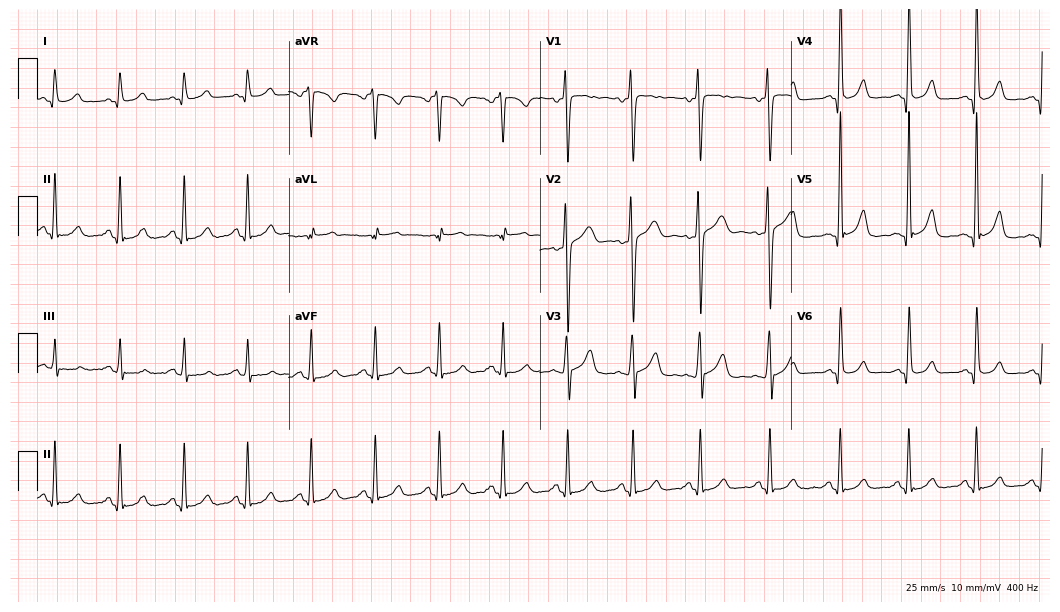
12-lead ECG (10.2-second recording at 400 Hz) from a male patient, 29 years old. Labelled as a normal ECG.